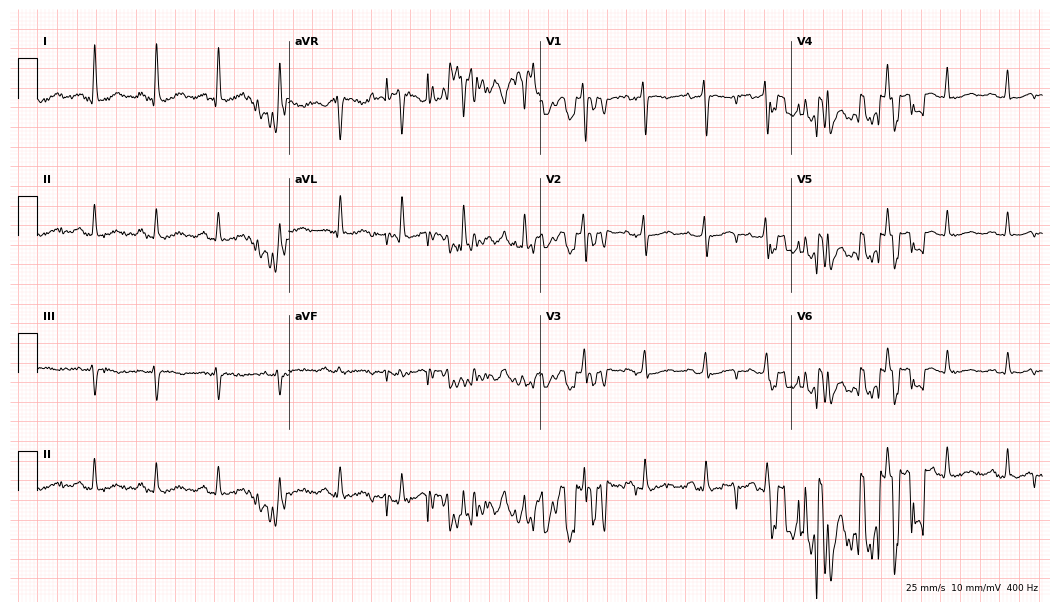
Resting 12-lead electrocardiogram (10.2-second recording at 400 Hz). Patient: a female, 44 years old. None of these six findings is recorded: first-degree AV block, right bundle branch block, left bundle branch block, sinus bradycardia, atrial fibrillation, sinus tachycardia.